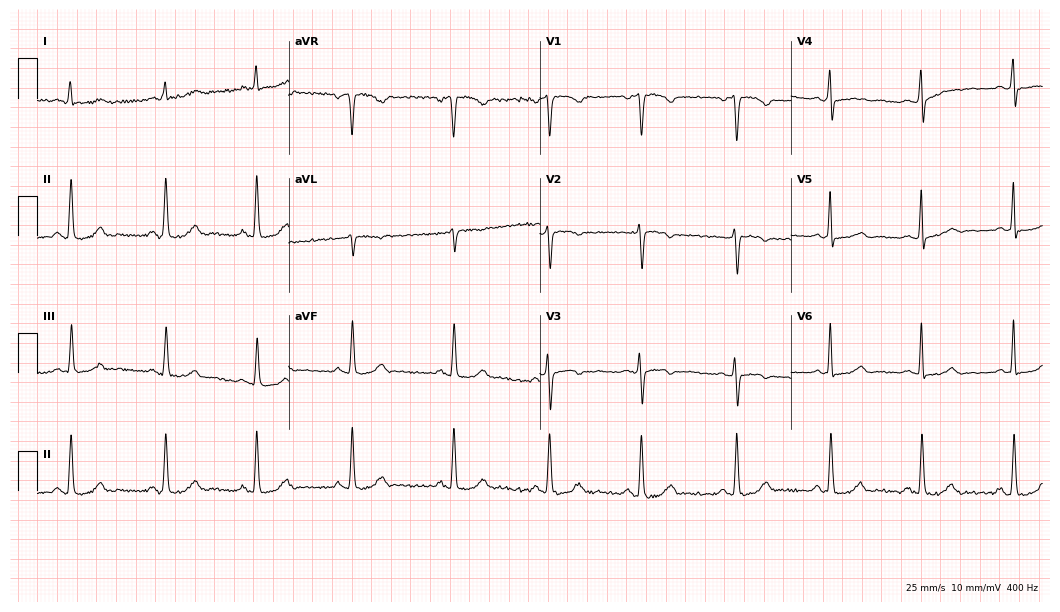
12-lead ECG from a female, 71 years old. Screened for six findings — first-degree AV block, right bundle branch block, left bundle branch block, sinus bradycardia, atrial fibrillation, sinus tachycardia — none is recorded.